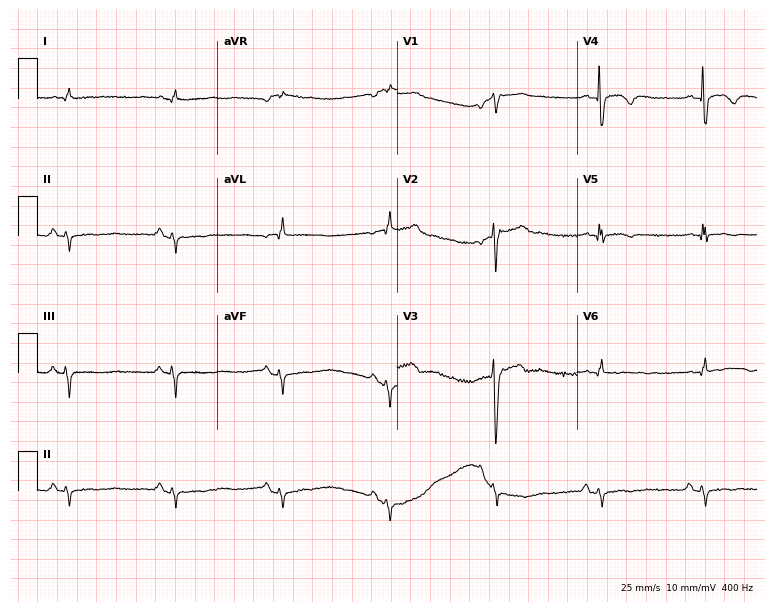
12-lead ECG from a 35-year-old male patient. No first-degree AV block, right bundle branch block (RBBB), left bundle branch block (LBBB), sinus bradycardia, atrial fibrillation (AF) or sinus tachycardia recorded for this tracing. Findings outside these six are not listed.